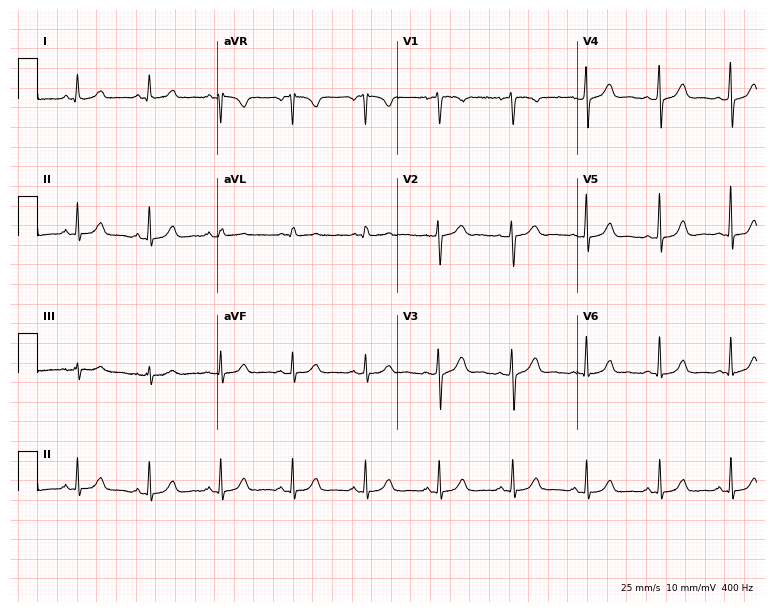
12-lead ECG (7.3-second recording at 400 Hz) from a female, 41 years old. Labelled as a normal ECG.